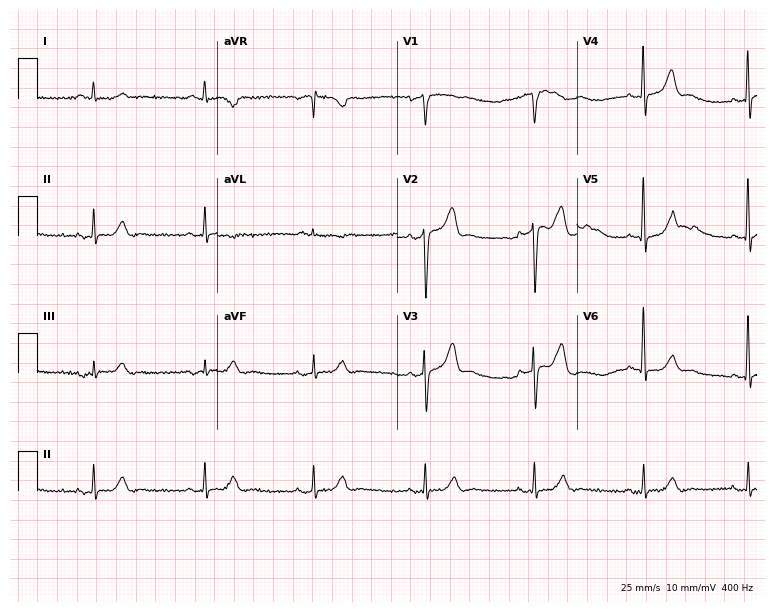
12-lead ECG from a man, 59 years old (7.3-second recording at 400 Hz). No first-degree AV block, right bundle branch block (RBBB), left bundle branch block (LBBB), sinus bradycardia, atrial fibrillation (AF) or sinus tachycardia recorded for this tracing.